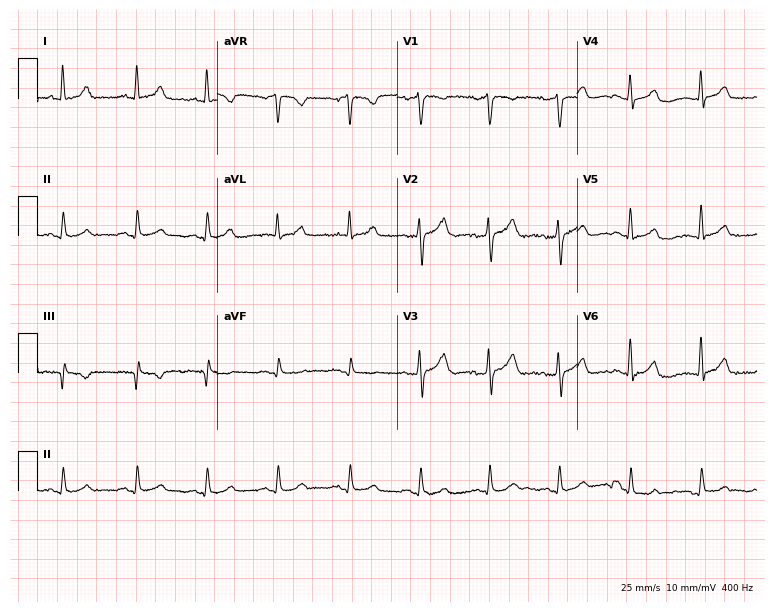
12-lead ECG from a 49-year-old female patient. Recorded interpretation: within normal limits.